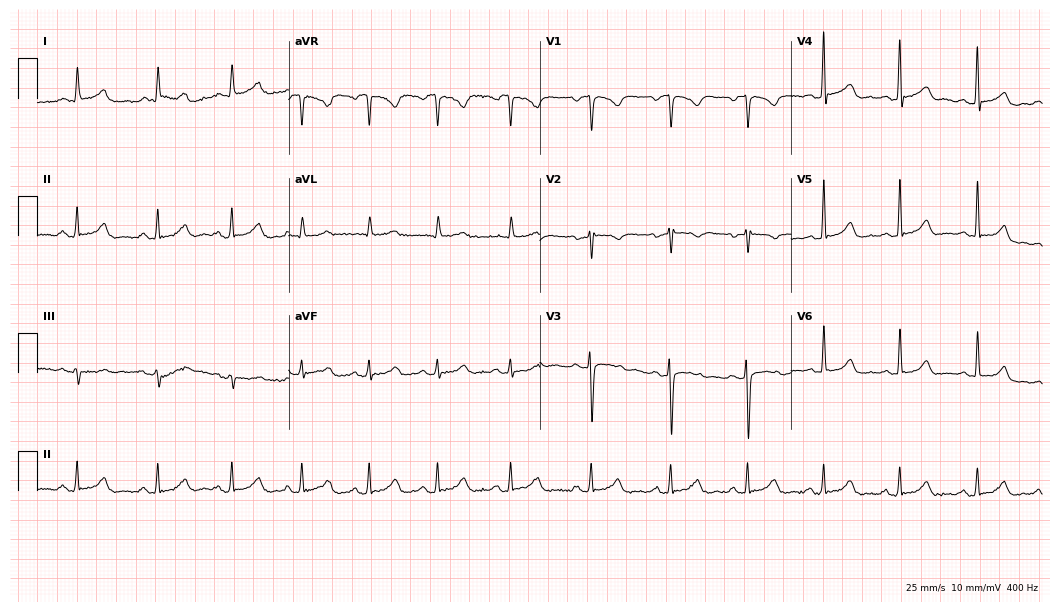
12-lead ECG from a 37-year-old female patient. Labelled as a normal ECG.